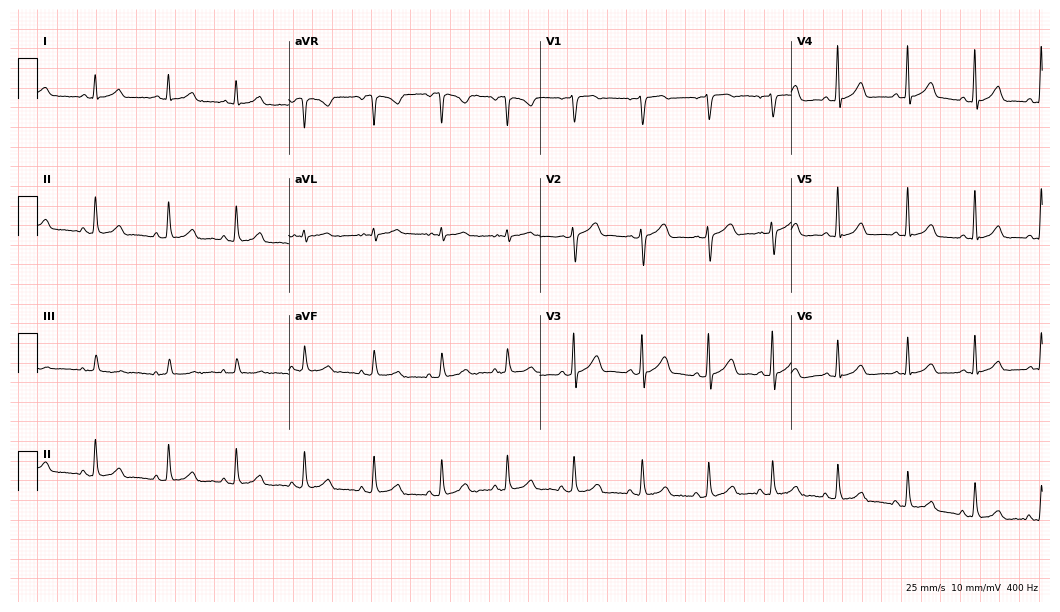
12-lead ECG from a female, 46 years old. Labelled as a normal ECG.